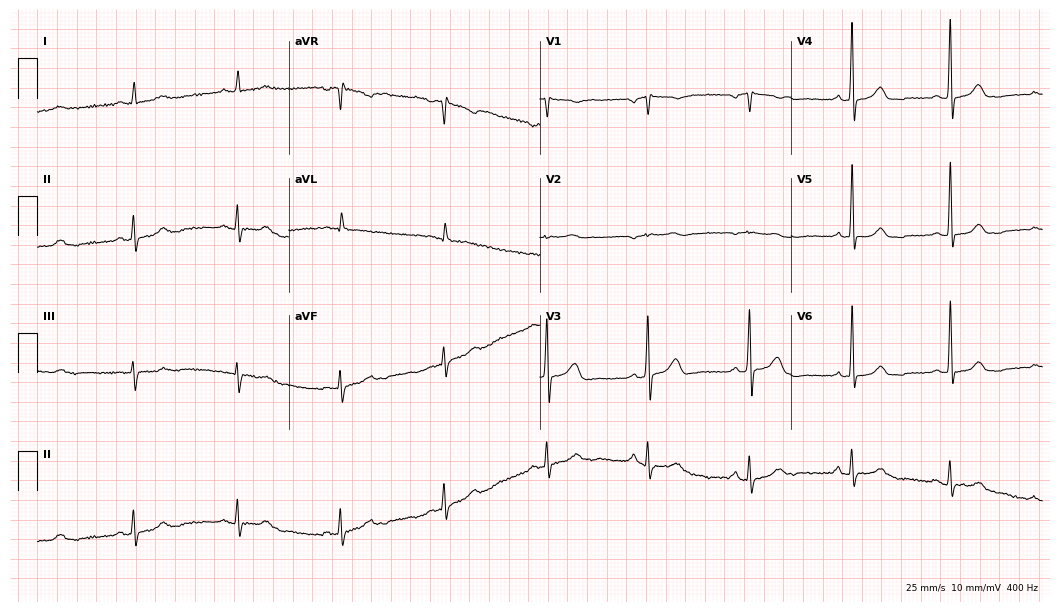
Standard 12-lead ECG recorded from a woman, 80 years old. Read as a normal ECG.